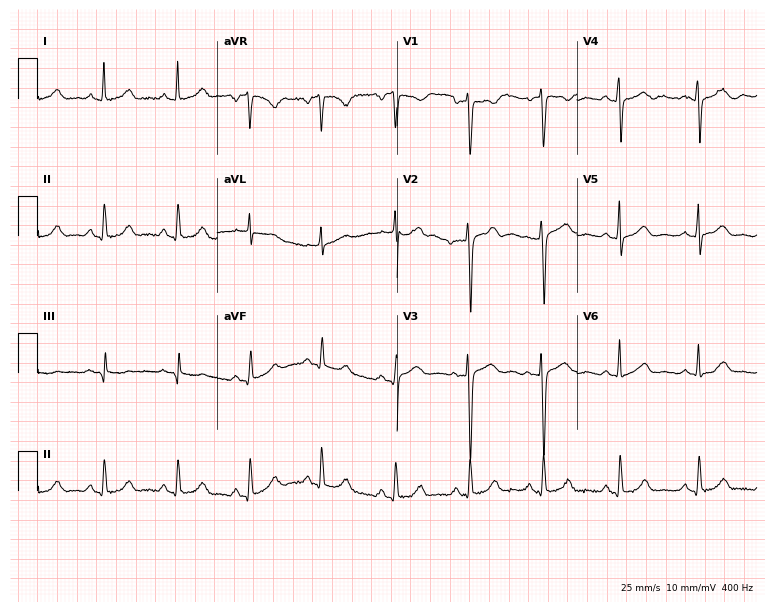
Standard 12-lead ECG recorded from a female, 46 years old. None of these six findings is recorded: first-degree AV block, right bundle branch block, left bundle branch block, sinus bradycardia, atrial fibrillation, sinus tachycardia. Only these six findings were labelled.